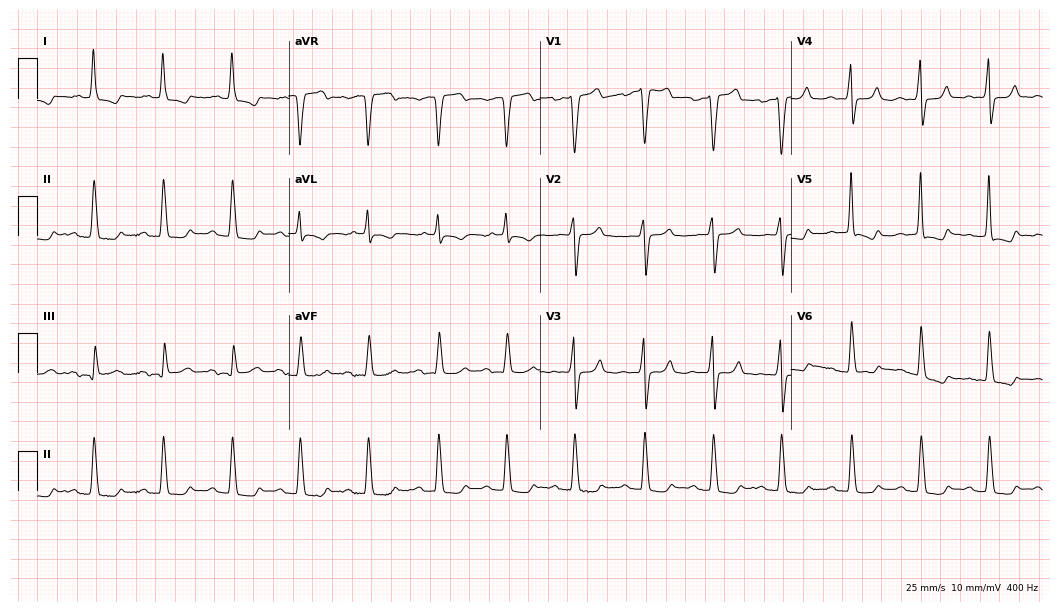
12-lead ECG from a 69-year-old female patient. No first-degree AV block, right bundle branch block, left bundle branch block, sinus bradycardia, atrial fibrillation or sinus tachycardia recorded for this tracing.